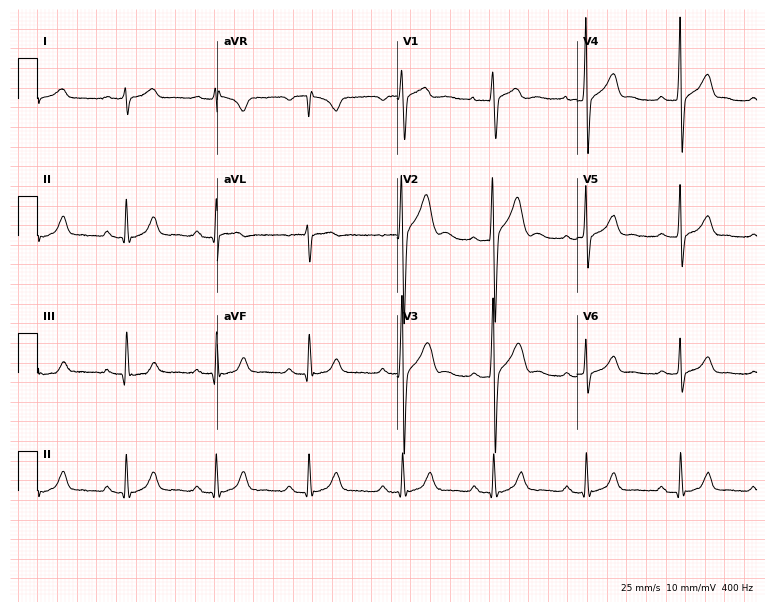
12-lead ECG (7.3-second recording at 400 Hz) from a 32-year-old male. Labelled as a normal ECG.